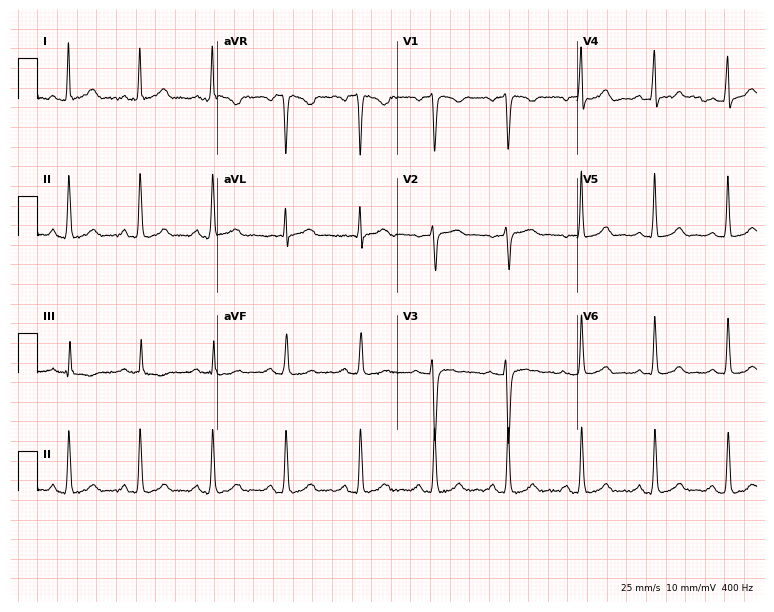
Resting 12-lead electrocardiogram. Patient: a female, 31 years old. Read as a normal ECG.